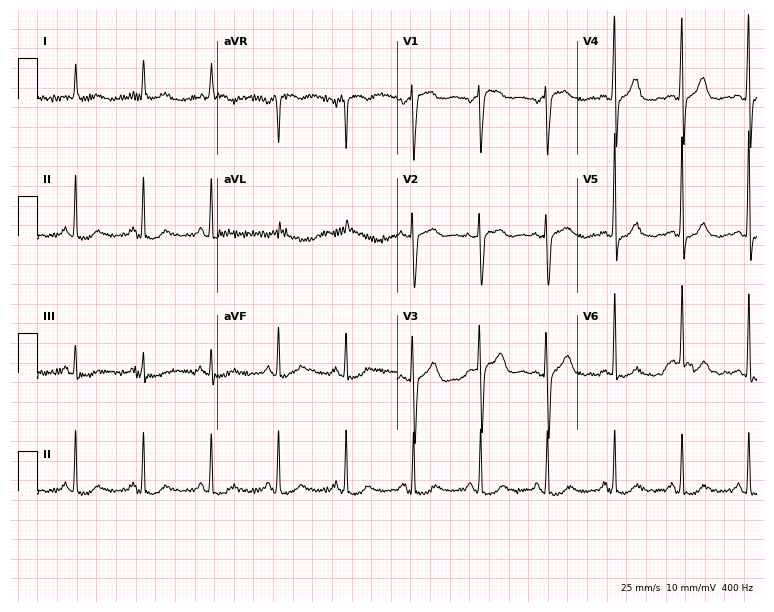
12-lead ECG from a female, 53 years old. Recorded interpretation: within normal limits.